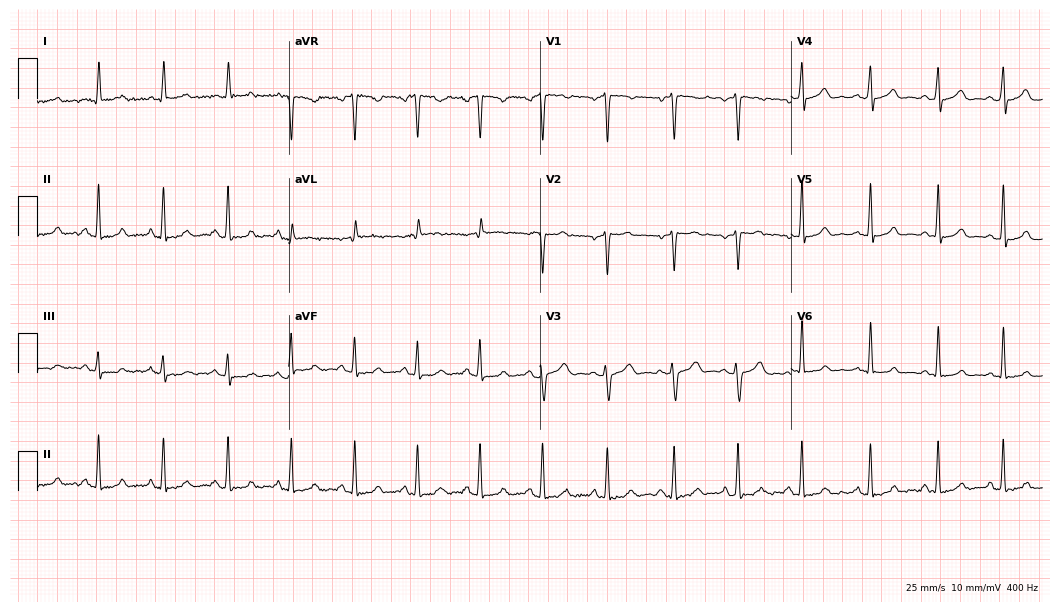
Electrocardiogram, a female, 38 years old. Overall reading on record: normal ECG.